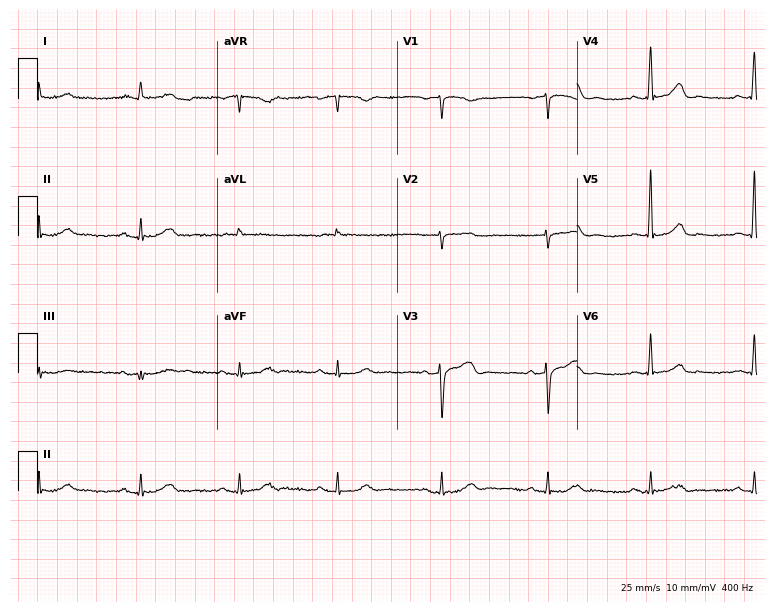
12-lead ECG from a man, 80 years old. Recorded interpretation: within normal limits.